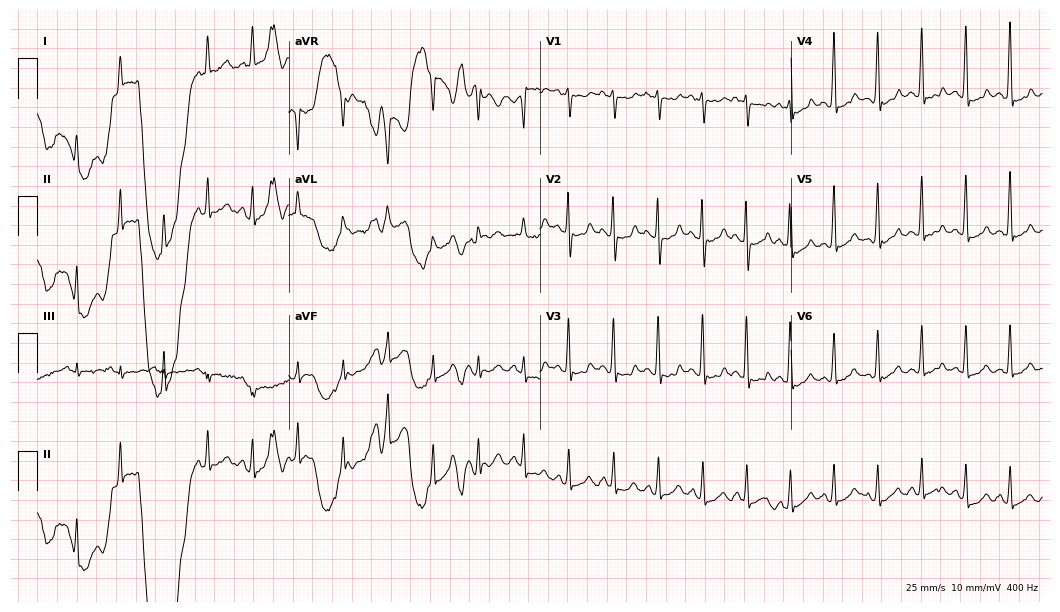
Resting 12-lead electrocardiogram. Patient: a woman, 41 years old. The tracing shows sinus tachycardia (a sinus rate of 100 beats per minute or more).